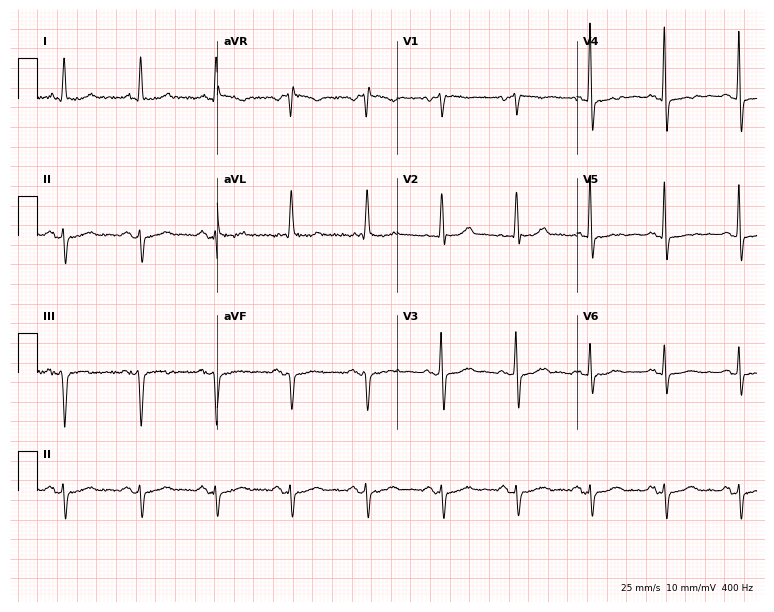
Resting 12-lead electrocardiogram. Patient: a 66-year-old woman. None of these six findings is recorded: first-degree AV block, right bundle branch block, left bundle branch block, sinus bradycardia, atrial fibrillation, sinus tachycardia. Findings outside these six are not listed.